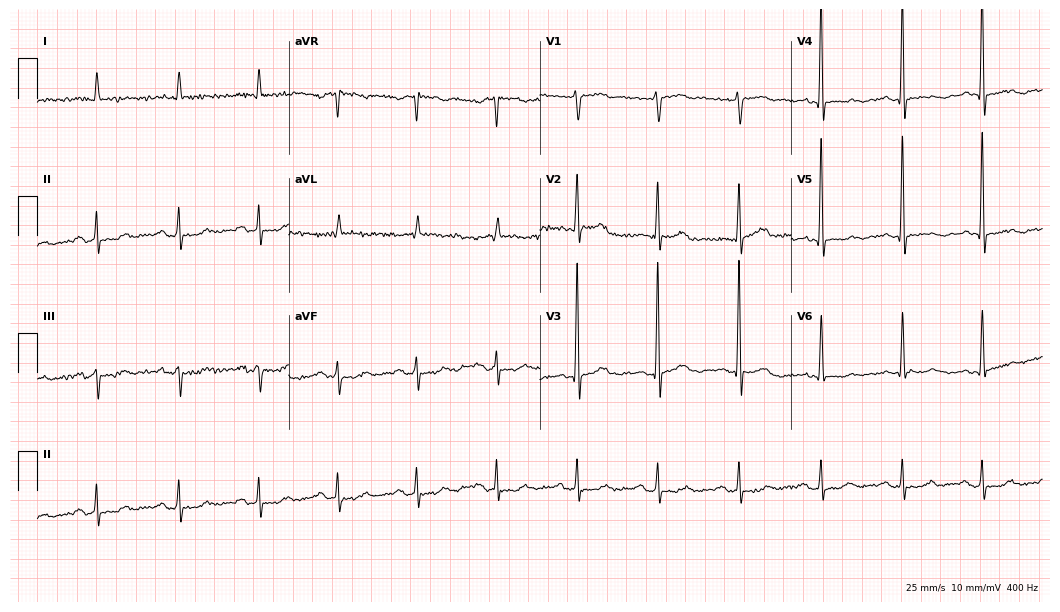
Electrocardiogram (10.2-second recording at 400 Hz), a male, 58 years old. Of the six screened findings (first-degree AV block, right bundle branch block (RBBB), left bundle branch block (LBBB), sinus bradycardia, atrial fibrillation (AF), sinus tachycardia), none is recorded.